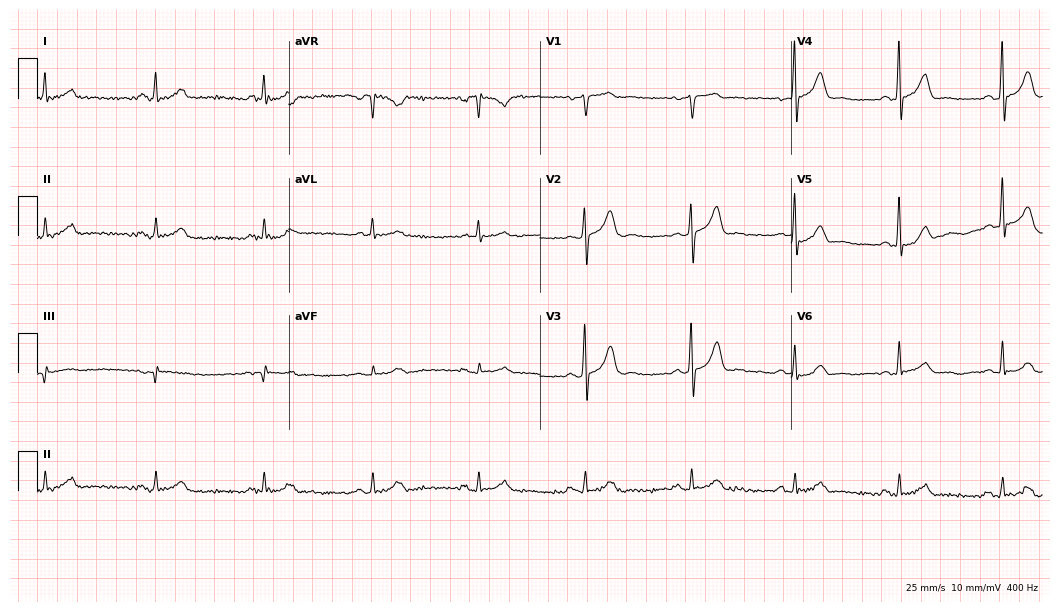
12-lead ECG from a man, 73 years old. Recorded interpretation: within normal limits.